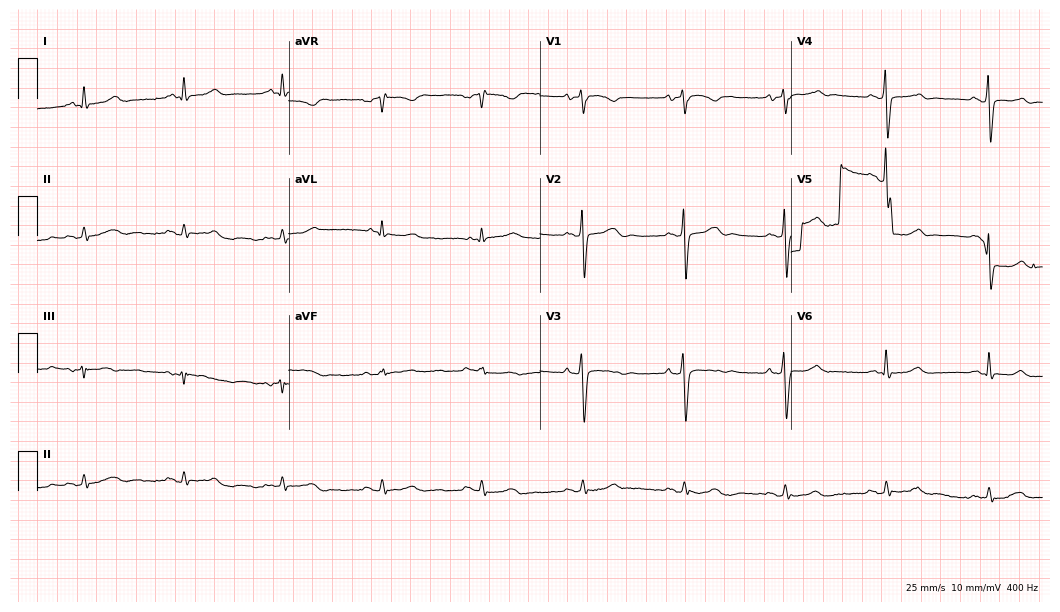
Electrocardiogram (10.2-second recording at 400 Hz), a 72-year-old female patient. Of the six screened findings (first-degree AV block, right bundle branch block, left bundle branch block, sinus bradycardia, atrial fibrillation, sinus tachycardia), none is recorded.